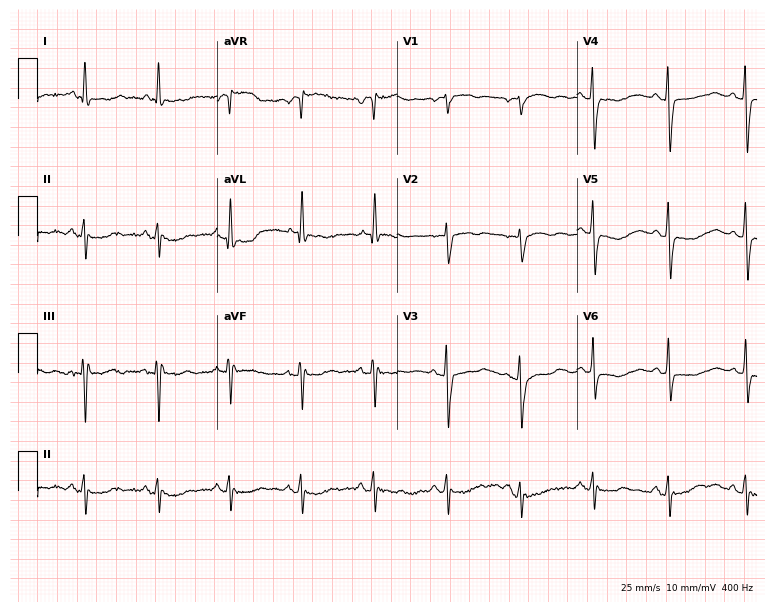
12-lead ECG from an 81-year-old woman (7.3-second recording at 400 Hz). No first-degree AV block, right bundle branch block (RBBB), left bundle branch block (LBBB), sinus bradycardia, atrial fibrillation (AF) or sinus tachycardia recorded for this tracing. Findings outside these six are not listed.